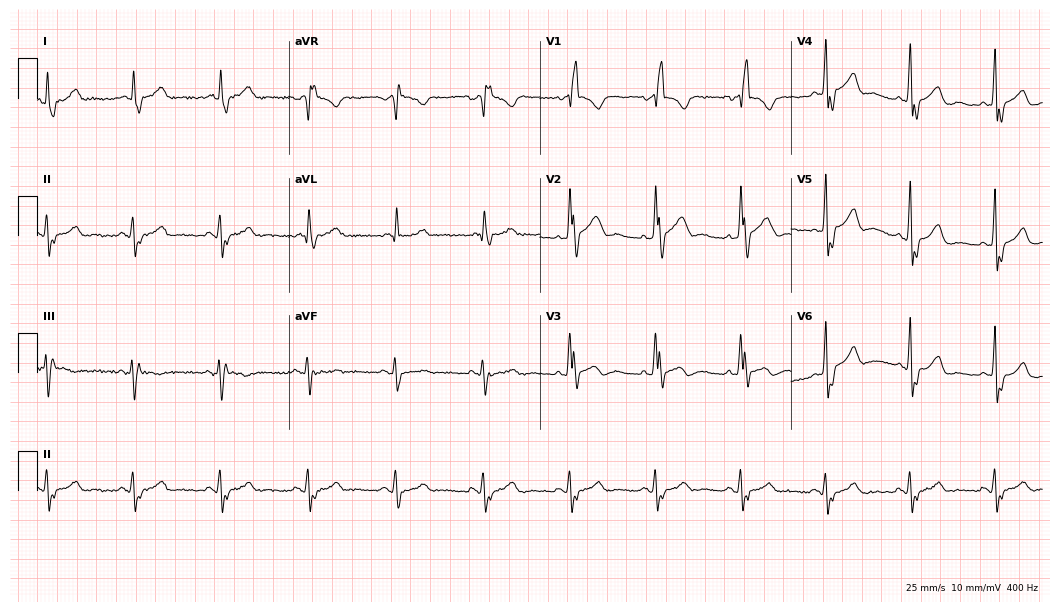
ECG — an 84-year-old male. Screened for six findings — first-degree AV block, right bundle branch block (RBBB), left bundle branch block (LBBB), sinus bradycardia, atrial fibrillation (AF), sinus tachycardia — none is recorded.